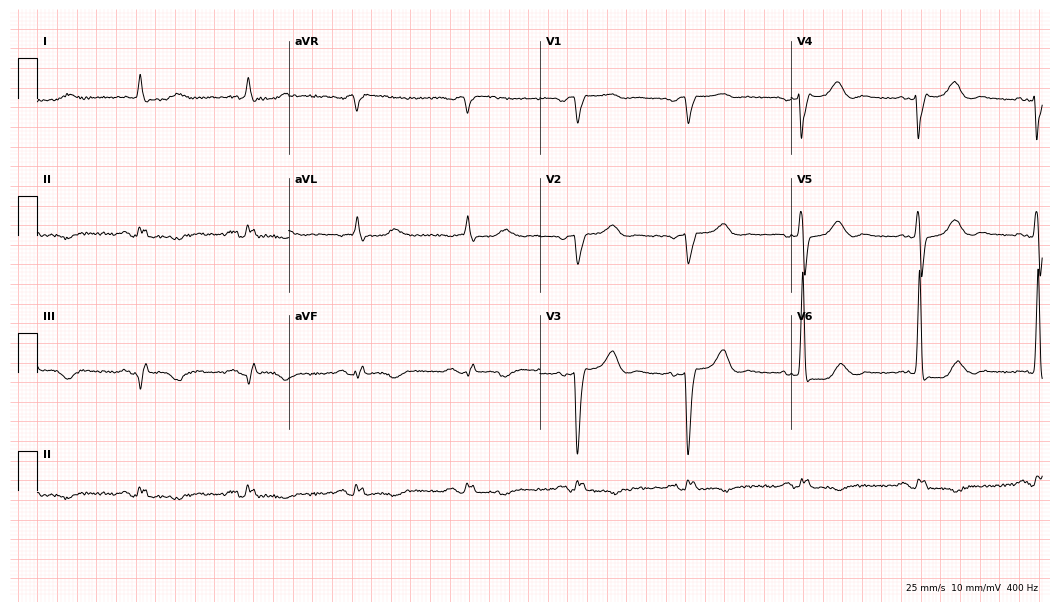
Standard 12-lead ECG recorded from a 79-year-old male. The tracing shows left bundle branch block.